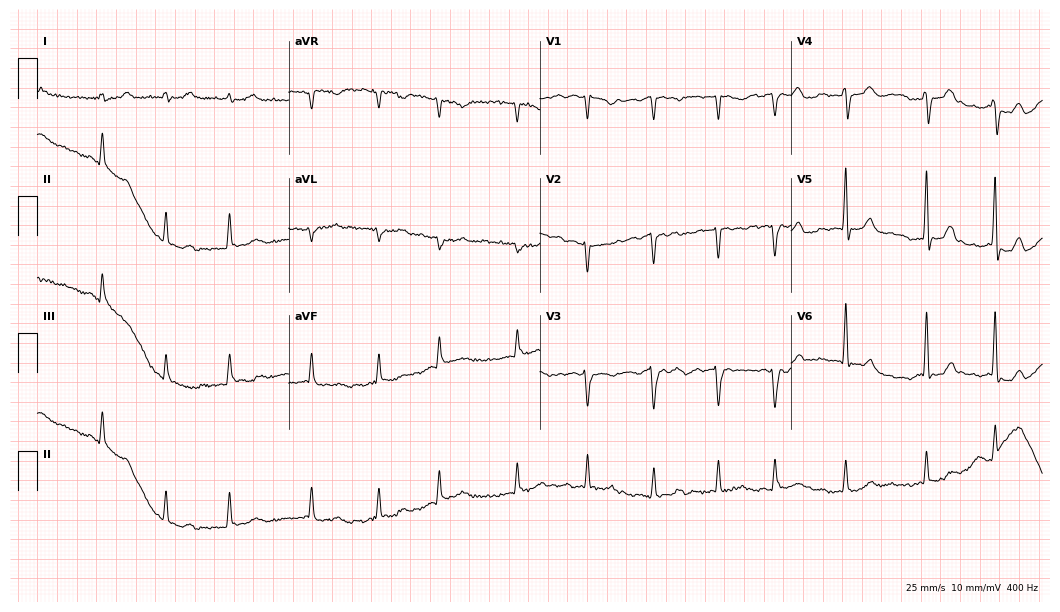
Resting 12-lead electrocardiogram (10.2-second recording at 400 Hz). Patient: an 81-year-old female. The tracing shows atrial fibrillation.